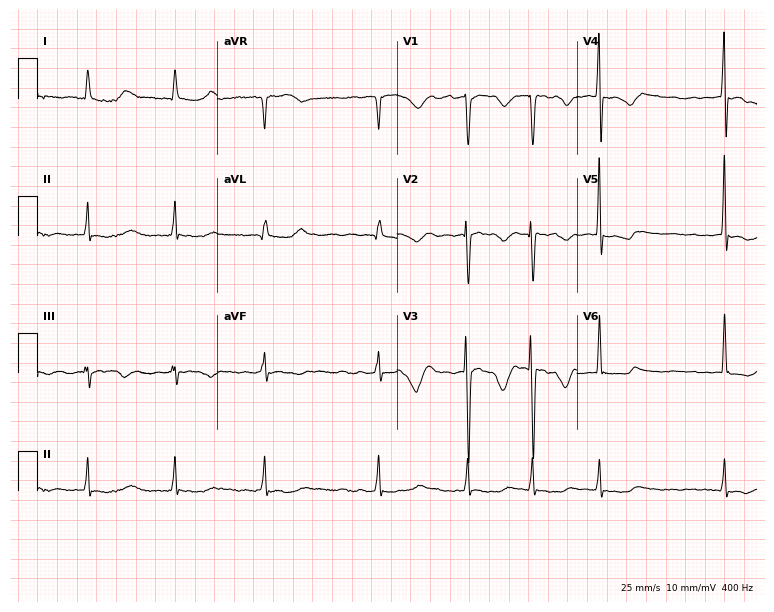
12-lead ECG (7.3-second recording at 400 Hz) from a male, 81 years old. Findings include atrial fibrillation.